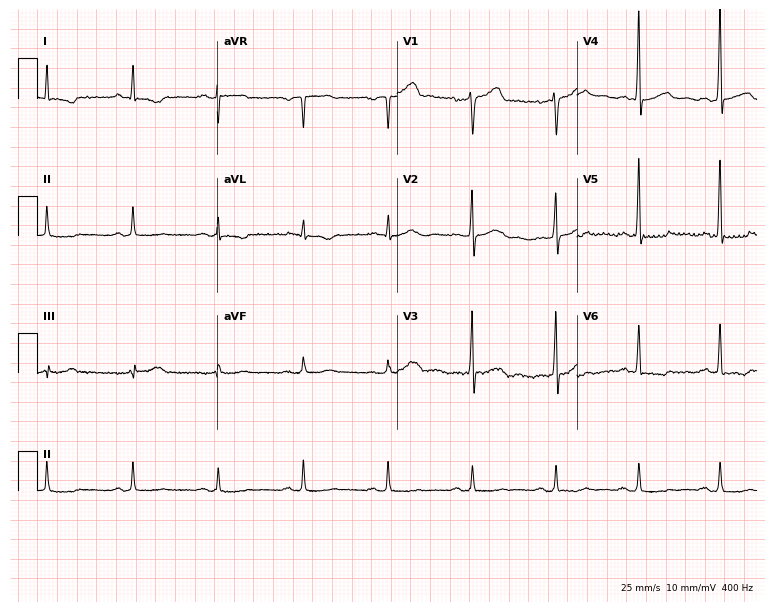
ECG (7.3-second recording at 400 Hz) — a 65-year-old male patient. Screened for six findings — first-degree AV block, right bundle branch block (RBBB), left bundle branch block (LBBB), sinus bradycardia, atrial fibrillation (AF), sinus tachycardia — none is recorded.